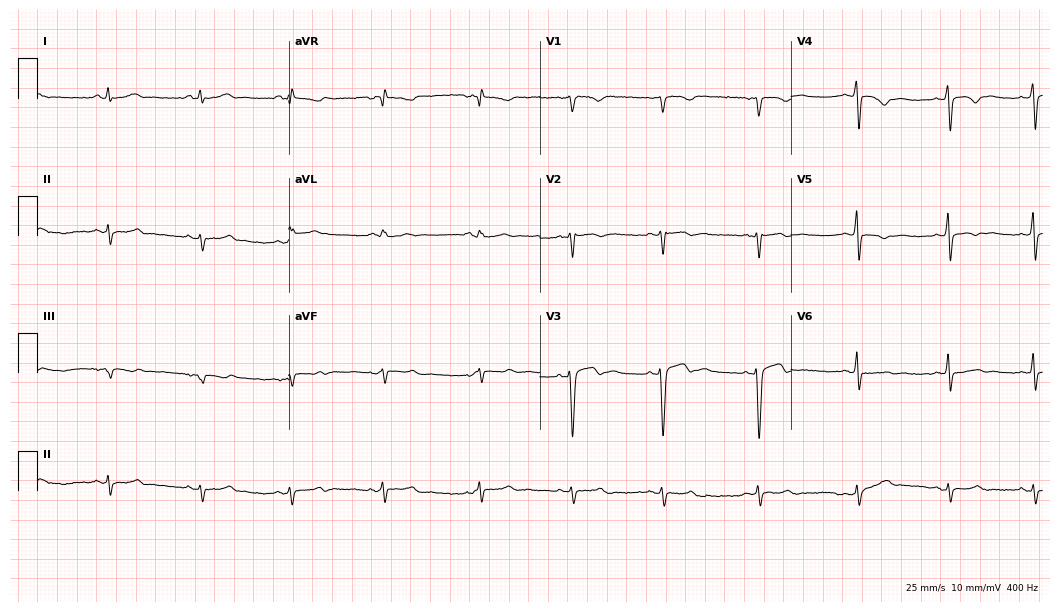
Electrocardiogram, a male, 33 years old. Of the six screened findings (first-degree AV block, right bundle branch block, left bundle branch block, sinus bradycardia, atrial fibrillation, sinus tachycardia), none is recorded.